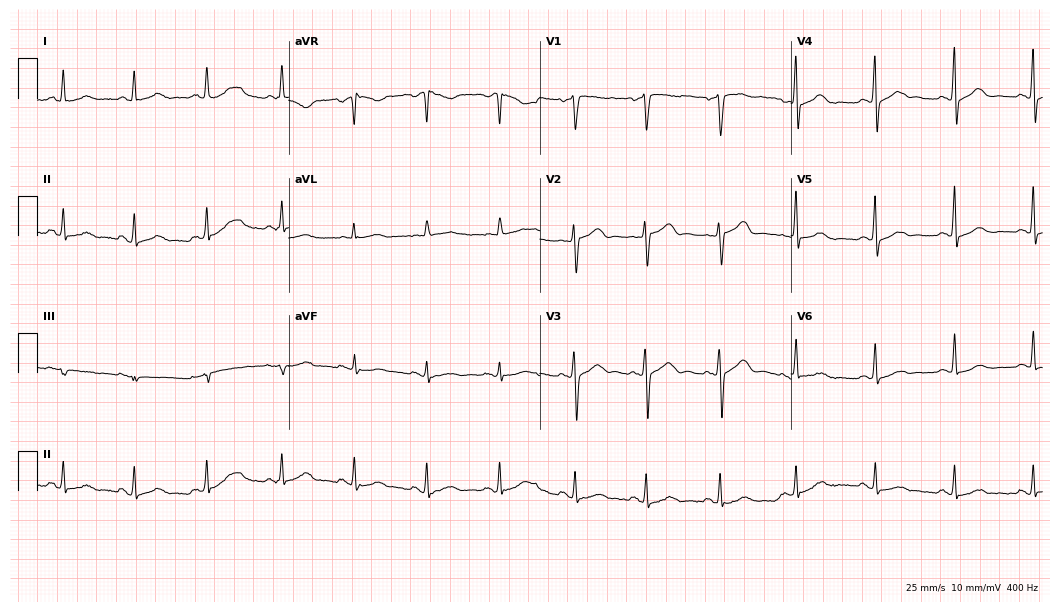
12-lead ECG from a 54-year-old male. Recorded interpretation: within normal limits.